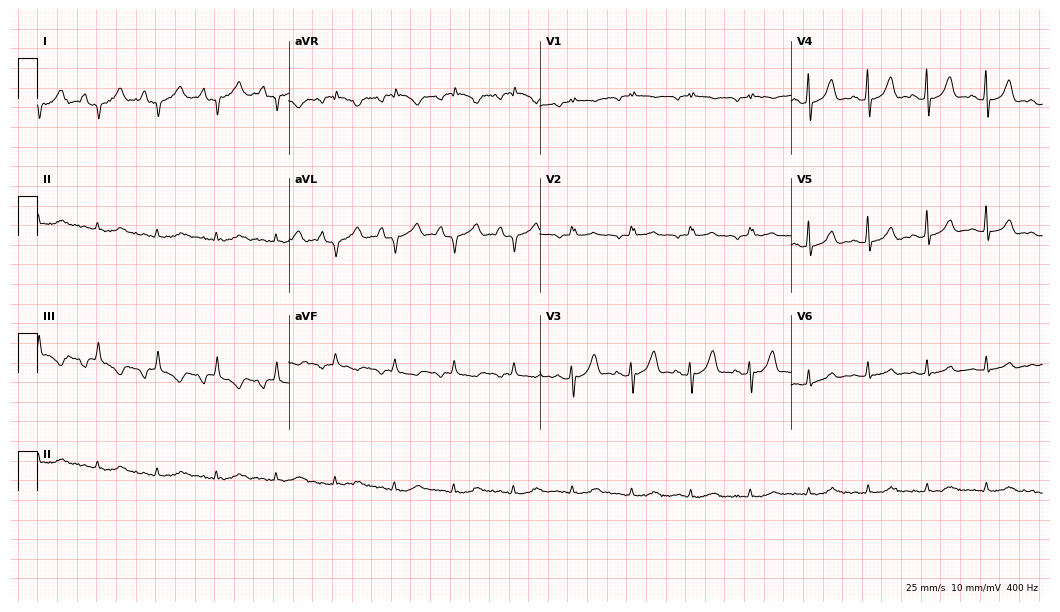
Electrocardiogram, a man, 74 years old. Of the six screened findings (first-degree AV block, right bundle branch block, left bundle branch block, sinus bradycardia, atrial fibrillation, sinus tachycardia), none is recorded. Other findings, if any, are not listed.